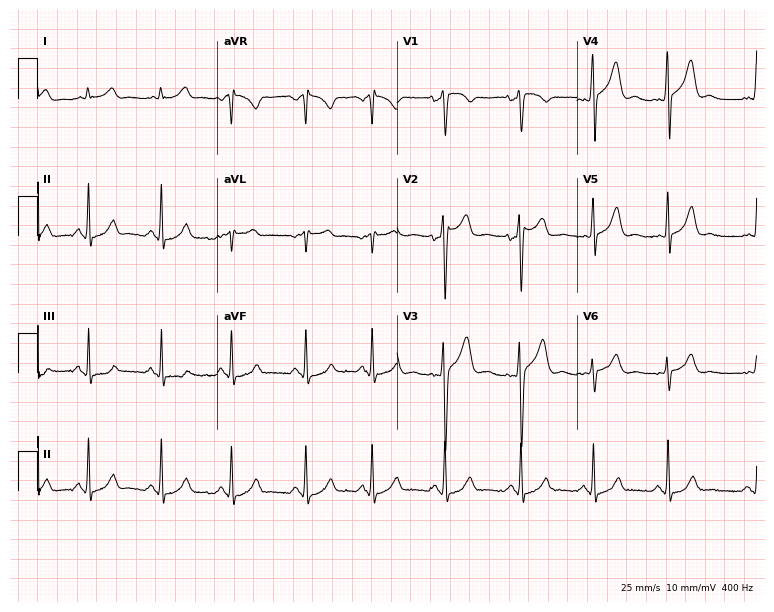
ECG — a 28-year-old male. Labelled as a normal ECG.